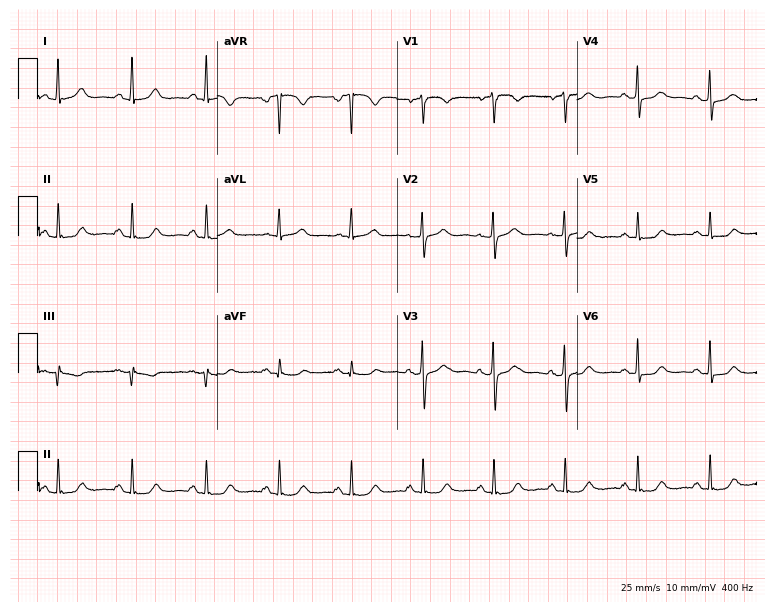
Standard 12-lead ECG recorded from a 66-year-old female patient (7.3-second recording at 400 Hz). Read as a normal ECG.